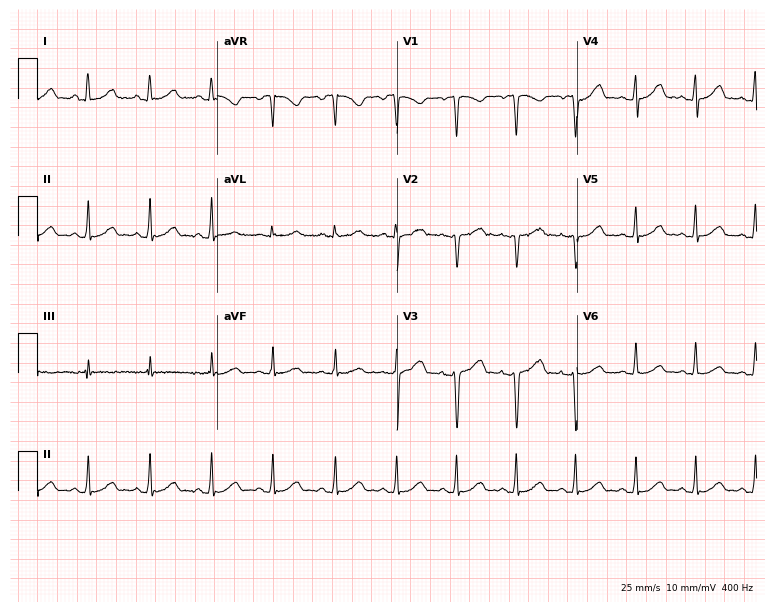
ECG (7.3-second recording at 400 Hz) — a female, 26 years old. Labelled as a normal ECG.